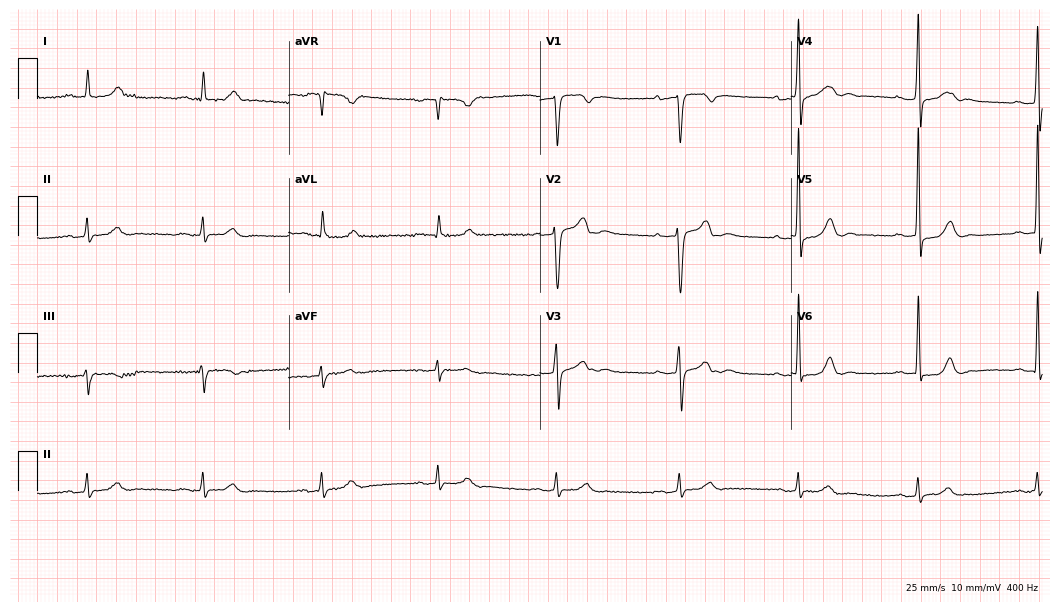
ECG — a 74-year-old man. Screened for six findings — first-degree AV block, right bundle branch block, left bundle branch block, sinus bradycardia, atrial fibrillation, sinus tachycardia — none is recorded.